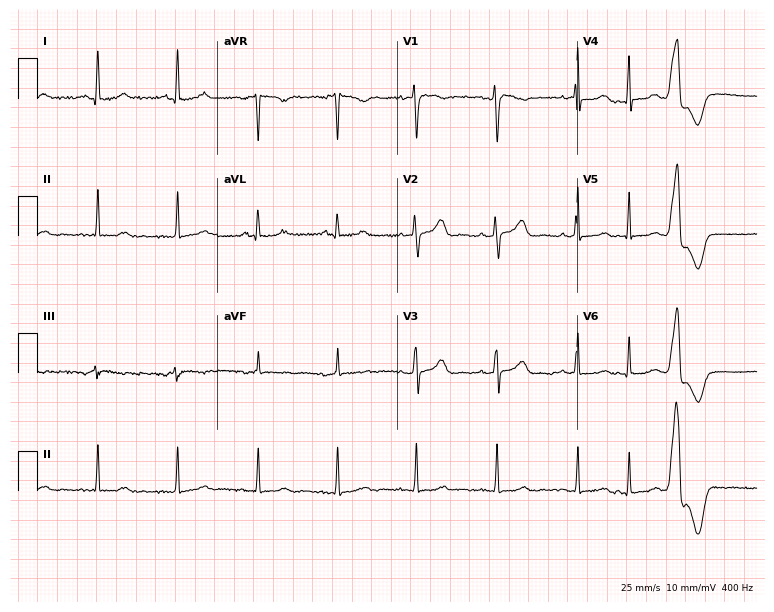
Electrocardiogram (7.3-second recording at 400 Hz), a 60-year-old female patient. Of the six screened findings (first-degree AV block, right bundle branch block (RBBB), left bundle branch block (LBBB), sinus bradycardia, atrial fibrillation (AF), sinus tachycardia), none is recorded.